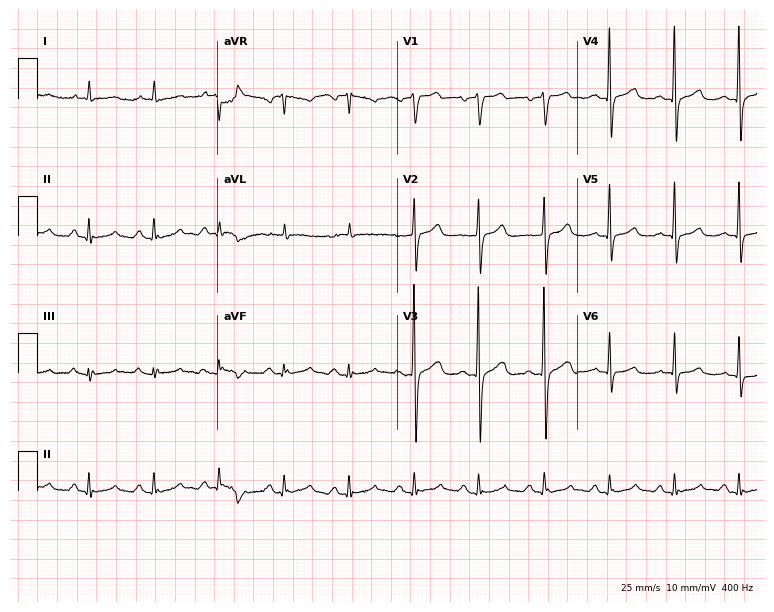
Electrocardiogram (7.3-second recording at 400 Hz), a male patient, 61 years old. Overall reading on record: normal ECG.